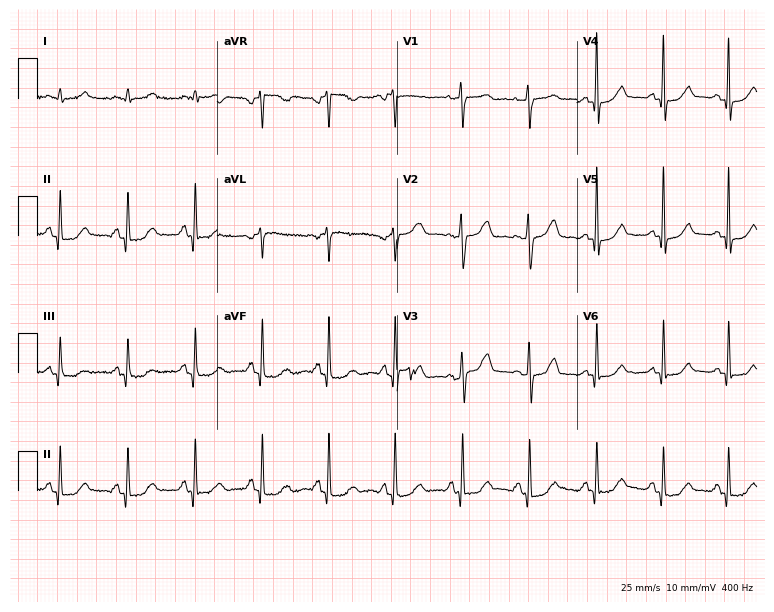
12-lead ECG from a 73-year-old female. No first-degree AV block, right bundle branch block, left bundle branch block, sinus bradycardia, atrial fibrillation or sinus tachycardia recorded for this tracing.